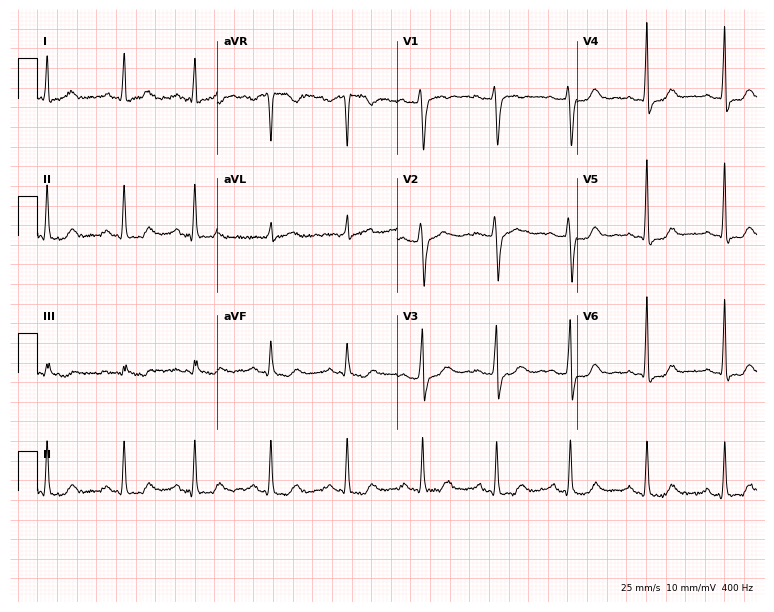
ECG (7.3-second recording at 400 Hz) — a female, 53 years old. Screened for six findings — first-degree AV block, right bundle branch block, left bundle branch block, sinus bradycardia, atrial fibrillation, sinus tachycardia — none is recorded. Findings outside these six are not listed.